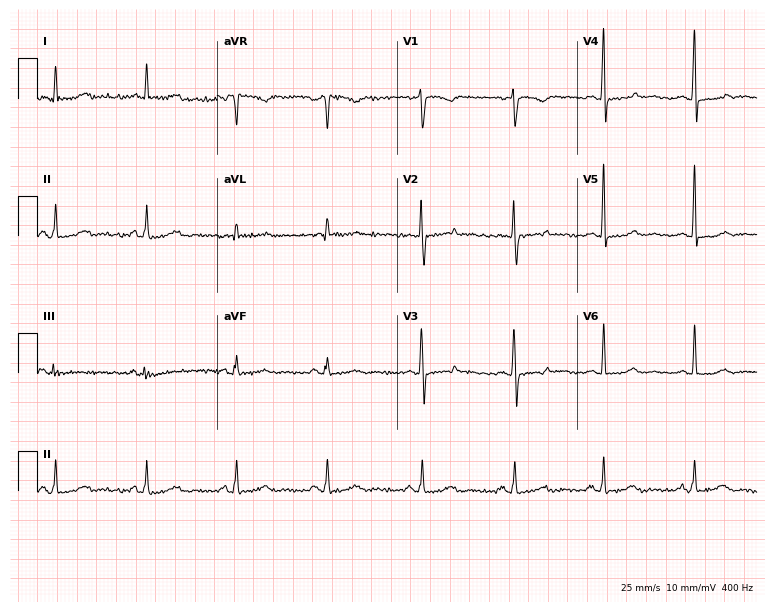
Resting 12-lead electrocardiogram (7.3-second recording at 400 Hz). Patient: a 43-year-old female. Read as a normal ECG.